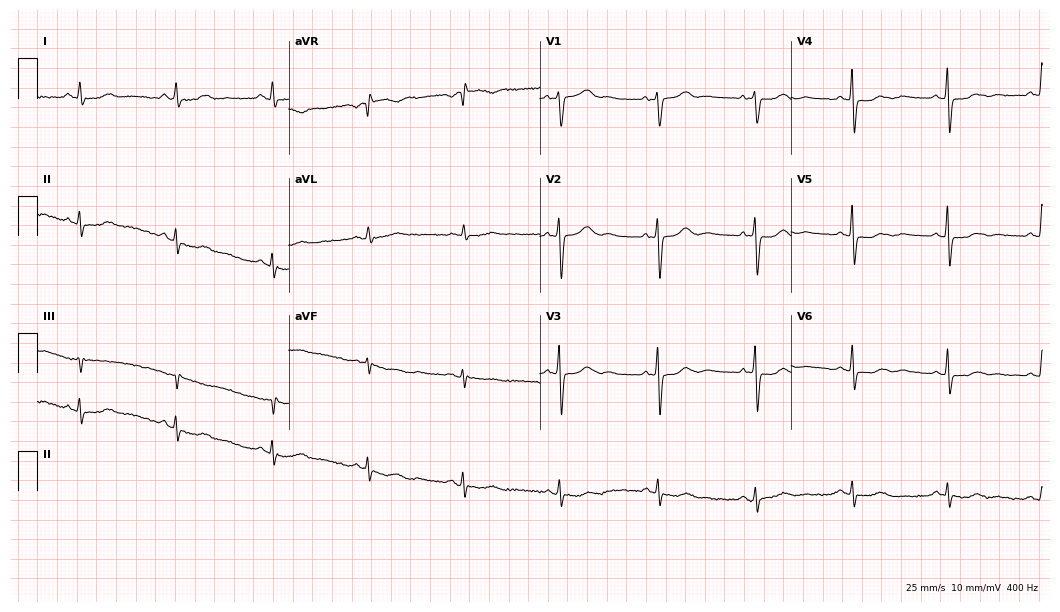
Resting 12-lead electrocardiogram (10.2-second recording at 400 Hz). Patient: a female, 54 years old. None of these six findings is recorded: first-degree AV block, right bundle branch block (RBBB), left bundle branch block (LBBB), sinus bradycardia, atrial fibrillation (AF), sinus tachycardia.